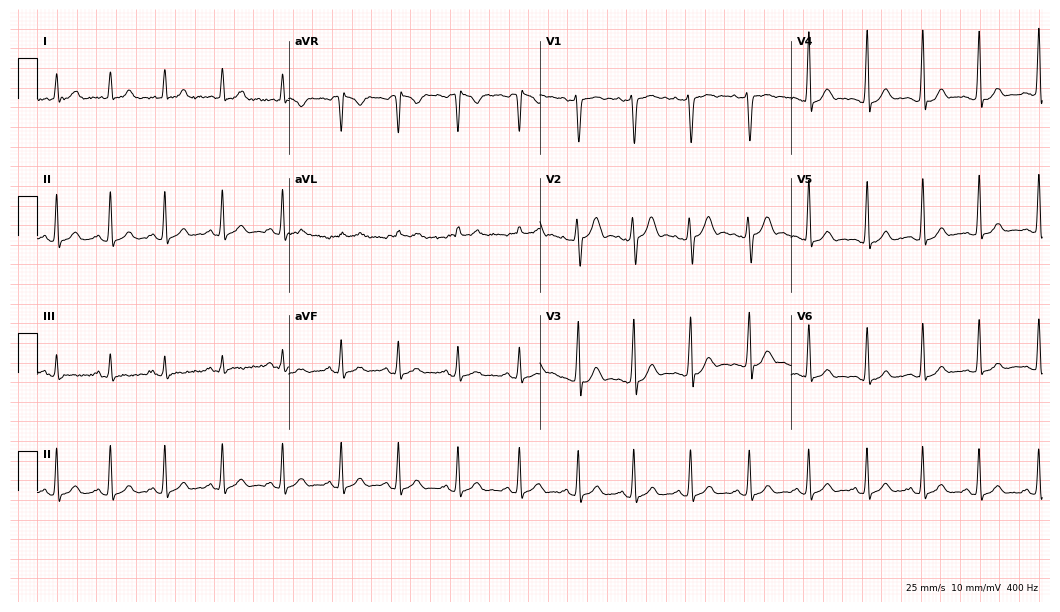
Standard 12-lead ECG recorded from a male patient, 27 years old (10.2-second recording at 400 Hz). Read as a normal ECG.